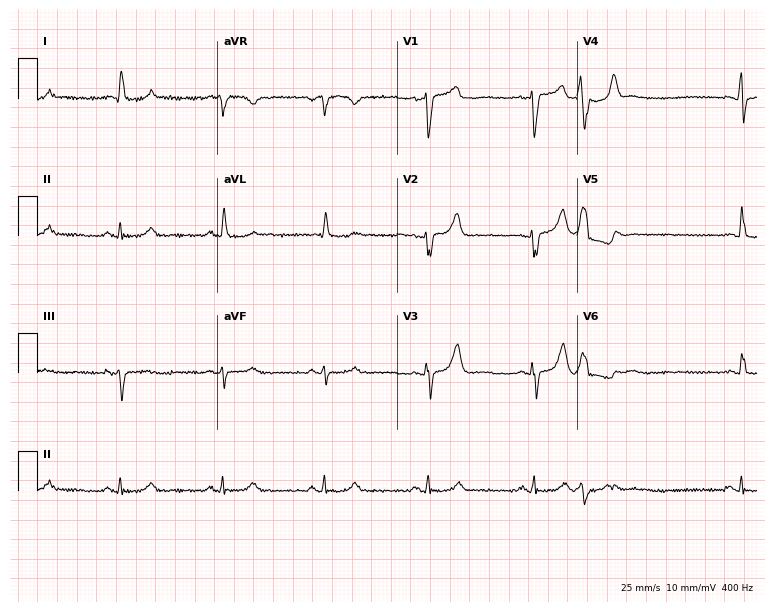
12-lead ECG from a male, 72 years old (7.3-second recording at 400 Hz). No first-degree AV block, right bundle branch block (RBBB), left bundle branch block (LBBB), sinus bradycardia, atrial fibrillation (AF) or sinus tachycardia recorded for this tracing.